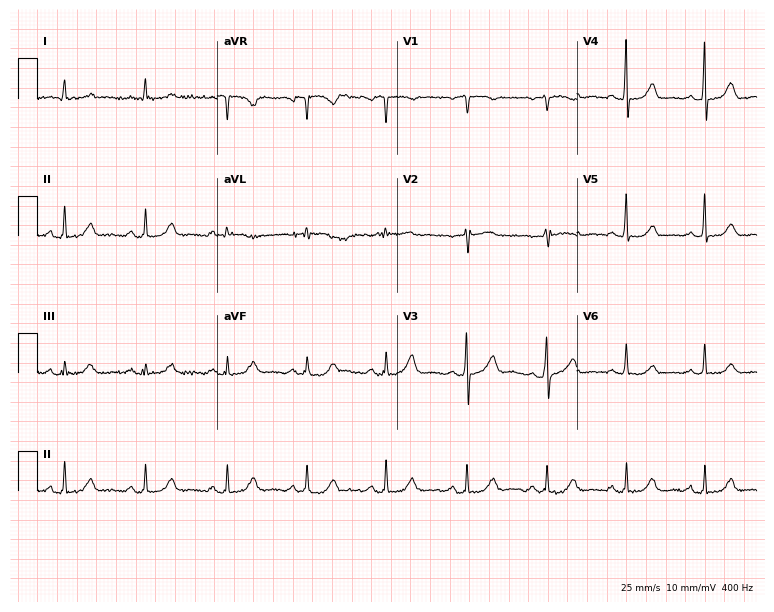
12-lead ECG from a woman, 72 years old. Recorded interpretation: within normal limits.